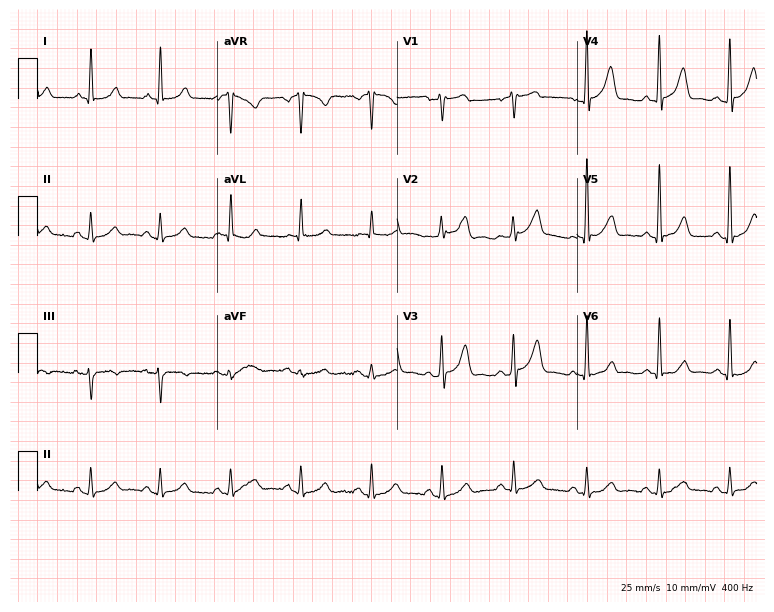
12-lead ECG from a male, 71 years old. No first-degree AV block, right bundle branch block, left bundle branch block, sinus bradycardia, atrial fibrillation or sinus tachycardia recorded for this tracing.